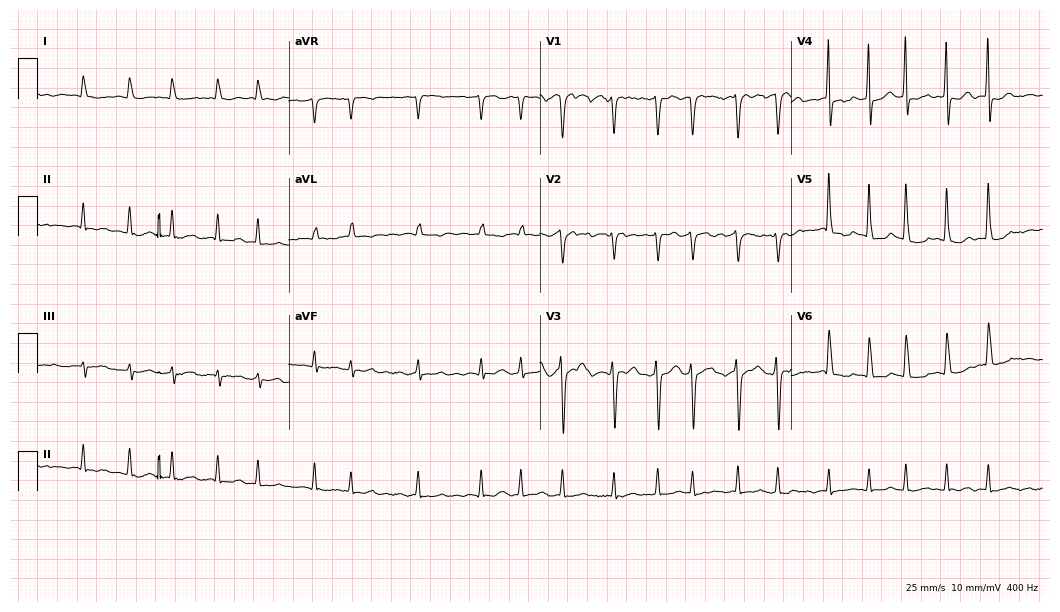
Standard 12-lead ECG recorded from a male, 75 years old. The tracing shows atrial fibrillation (AF).